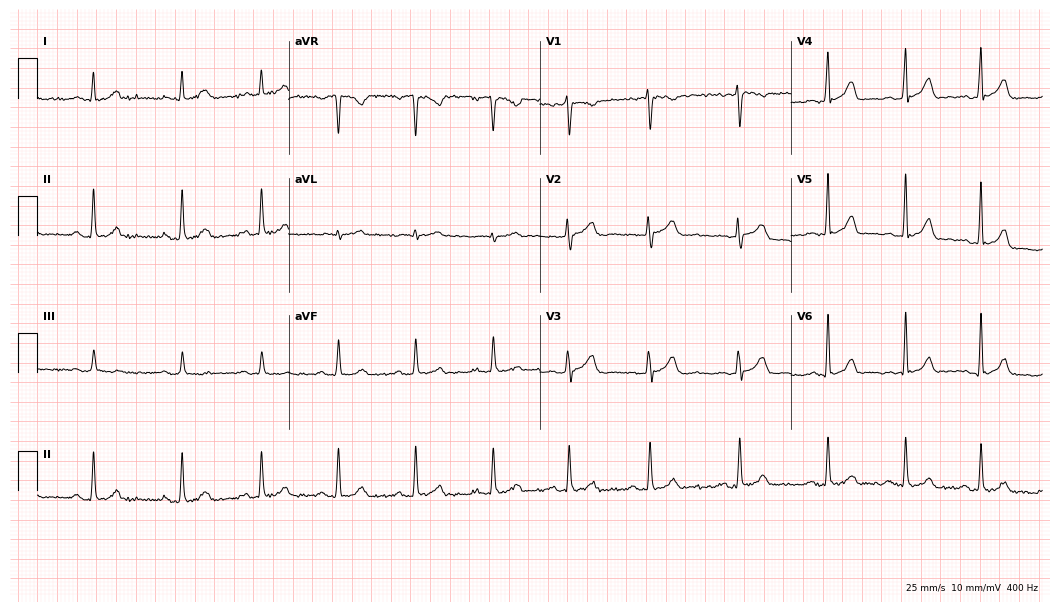
Electrocardiogram (10.2-second recording at 400 Hz), a woman, 26 years old. Overall reading on record: normal ECG.